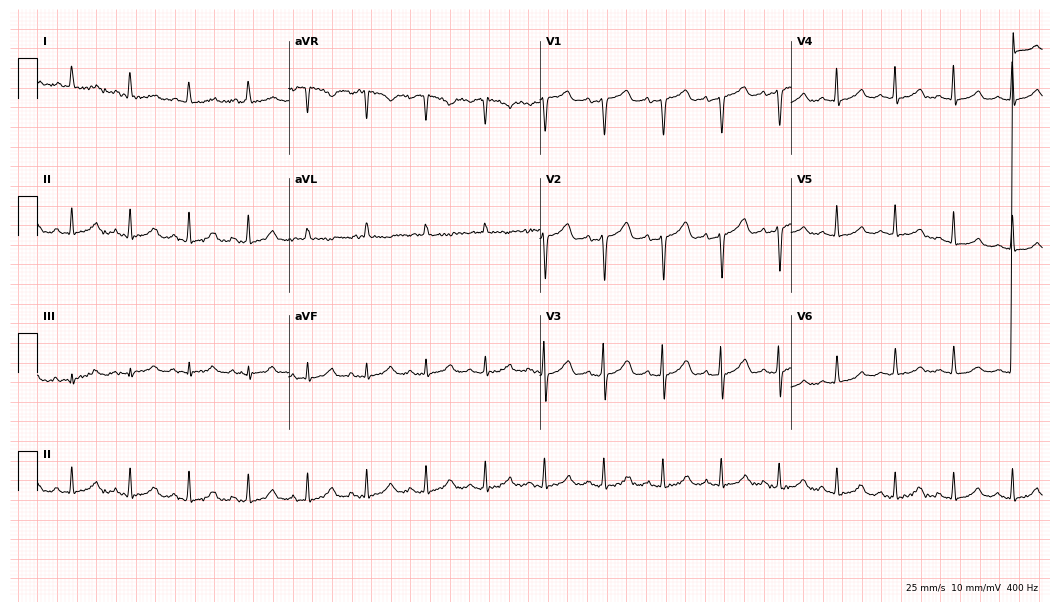
Electrocardiogram, a female patient, 76 years old. Interpretation includes sinus tachycardia (a sinus rate of 100 beats per minute or more).